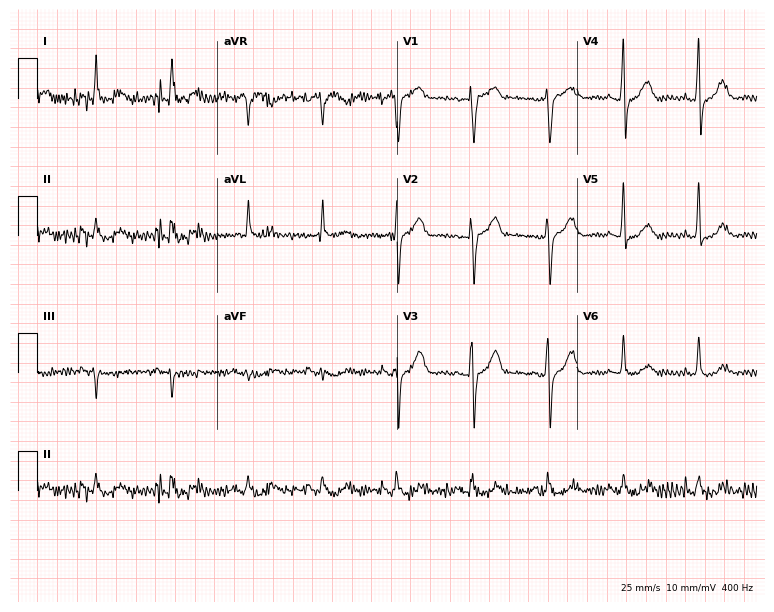
12-lead ECG from a 67-year-old female. No first-degree AV block, right bundle branch block (RBBB), left bundle branch block (LBBB), sinus bradycardia, atrial fibrillation (AF) or sinus tachycardia recorded for this tracing.